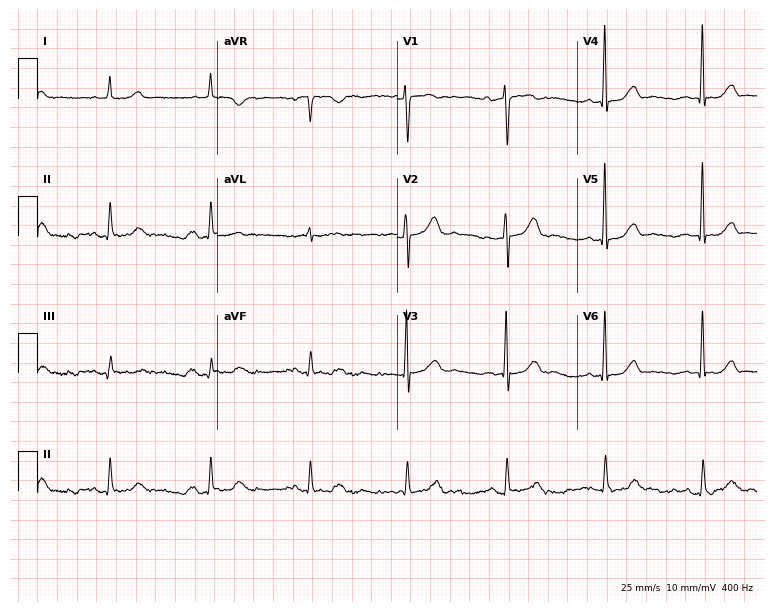
Electrocardiogram (7.3-second recording at 400 Hz), a female, 63 years old. Of the six screened findings (first-degree AV block, right bundle branch block (RBBB), left bundle branch block (LBBB), sinus bradycardia, atrial fibrillation (AF), sinus tachycardia), none is recorded.